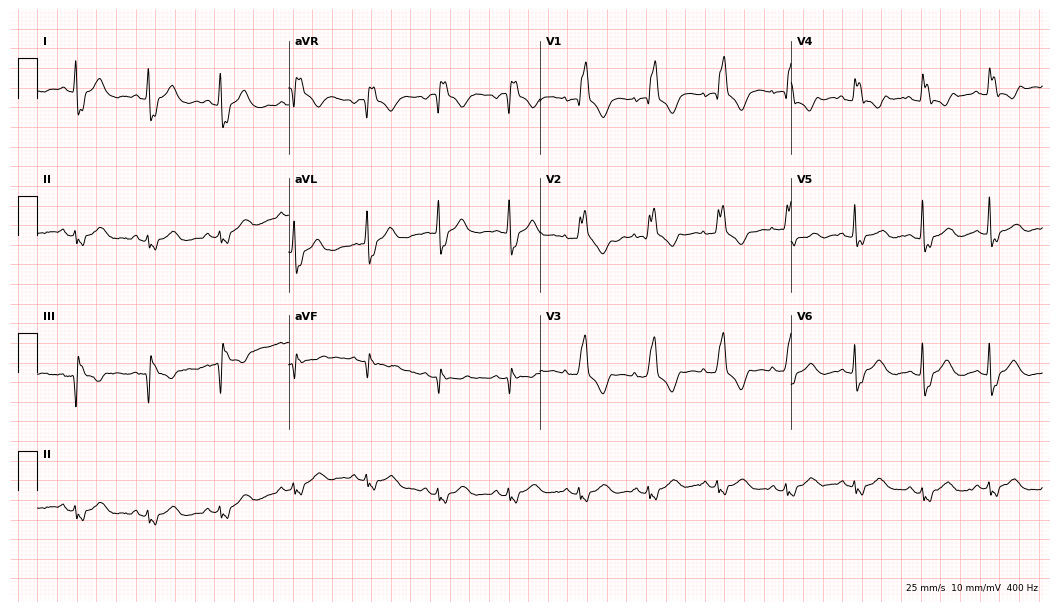
12-lead ECG (10.2-second recording at 400 Hz) from a 79-year-old female patient. Findings include right bundle branch block (RBBB).